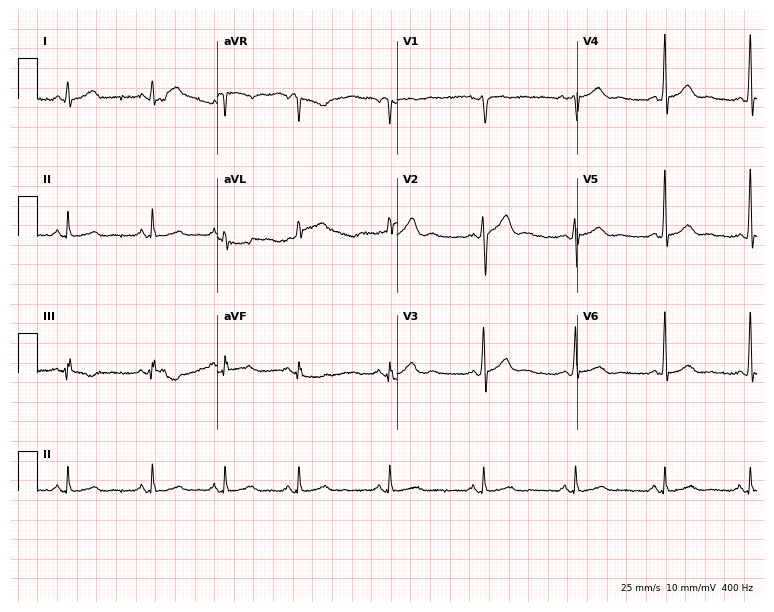
12-lead ECG (7.3-second recording at 400 Hz) from a 33-year-old male patient. Labelled as a normal ECG.